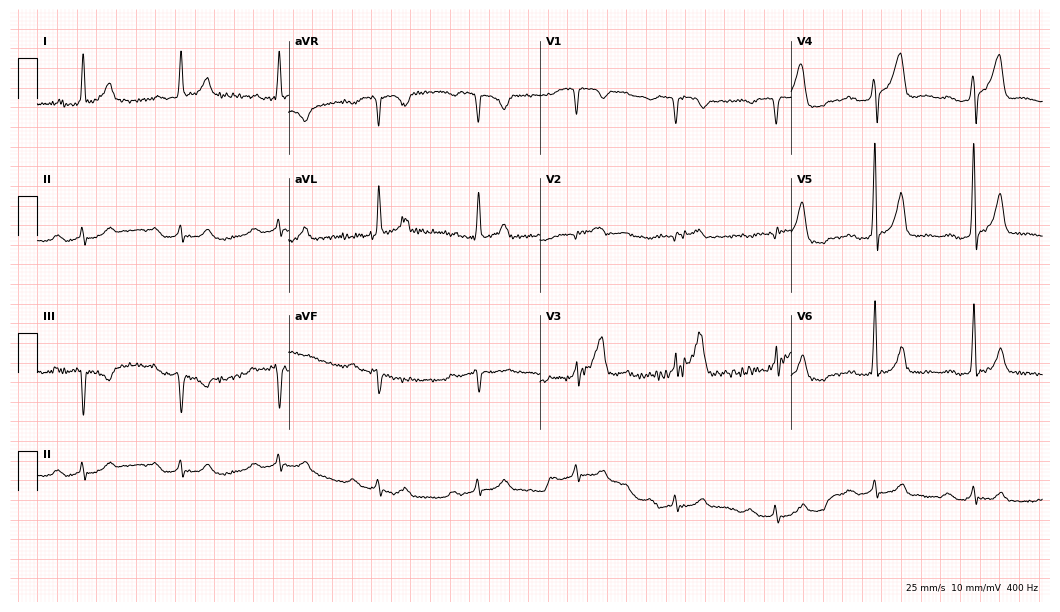
12-lead ECG from a male patient, 69 years old. Screened for six findings — first-degree AV block, right bundle branch block, left bundle branch block, sinus bradycardia, atrial fibrillation, sinus tachycardia — none is recorded.